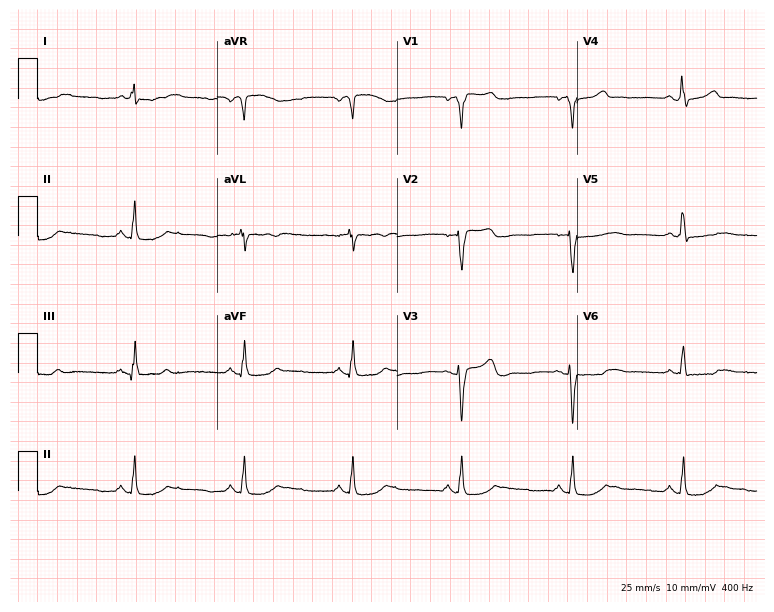
Electrocardiogram, a male patient, 55 years old. Of the six screened findings (first-degree AV block, right bundle branch block, left bundle branch block, sinus bradycardia, atrial fibrillation, sinus tachycardia), none is recorded. Findings outside these six are not listed.